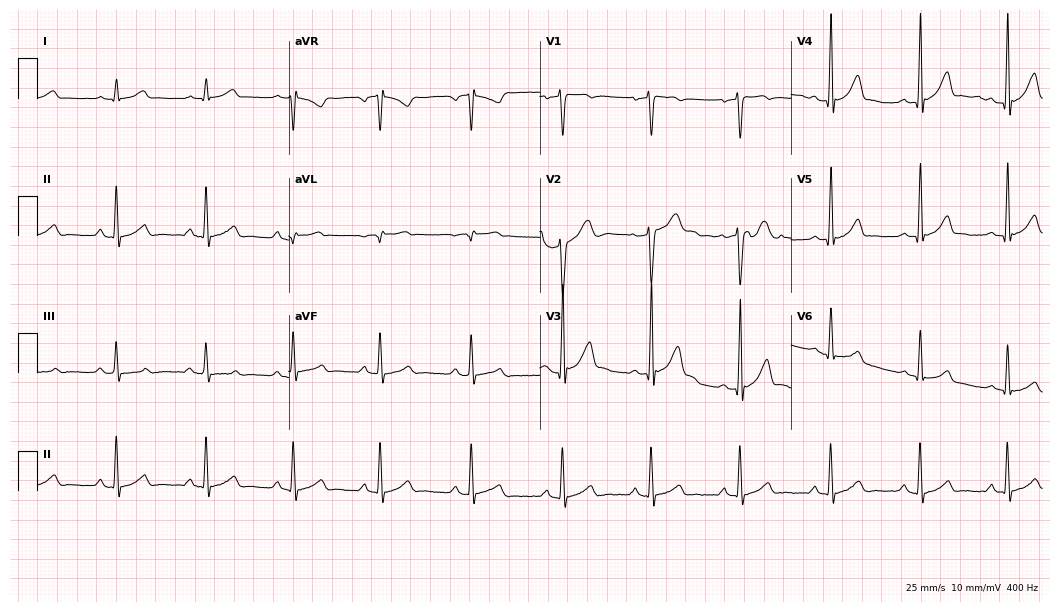
Electrocardiogram, a male patient, 26 years old. Overall reading on record: normal ECG.